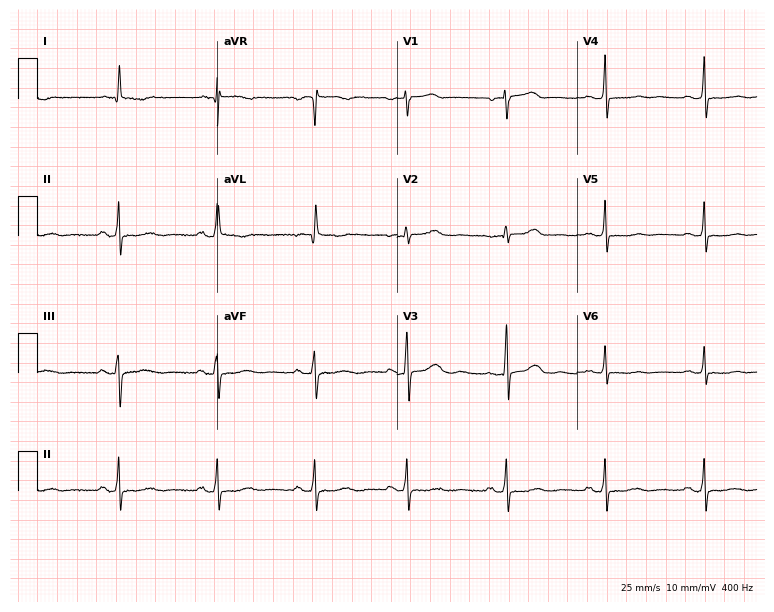
Standard 12-lead ECG recorded from an 81-year-old woman. Read as a normal ECG.